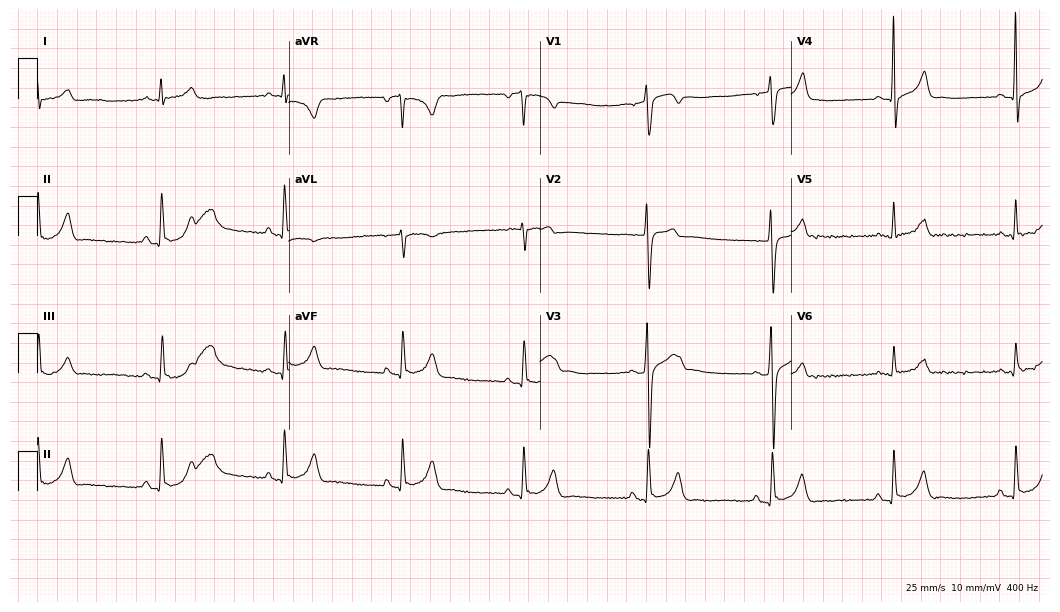
12-lead ECG (10.2-second recording at 400 Hz) from a 20-year-old male patient. Findings include sinus bradycardia (a sinus rate of 50 beats per minute or less).